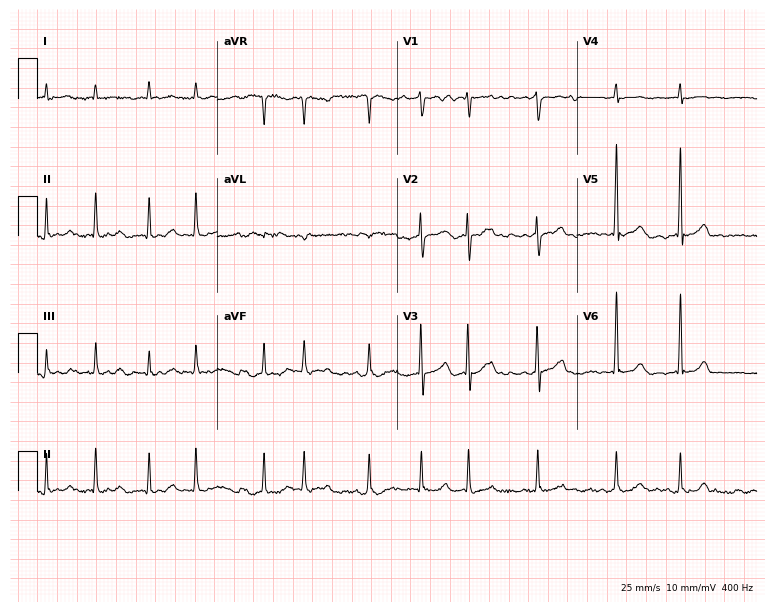
ECG (7.3-second recording at 400 Hz) — a woman, 59 years old. Findings include atrial fibrillation (AF).